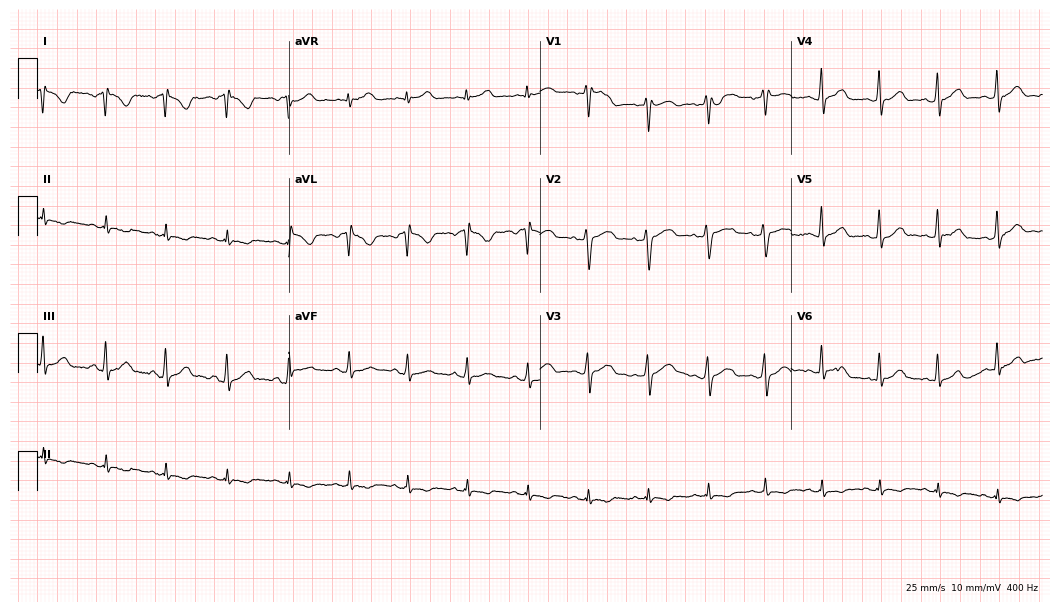
Standard 12-lead ECG recorded from a 26-year-old female (10.2-second recording at 400 Hz). None of these six findings is recorded: first-degree AV block, right bundle branch block, left bundle branch block, sinus bradycardia, atrial fibrillation, sinus tachycardia.